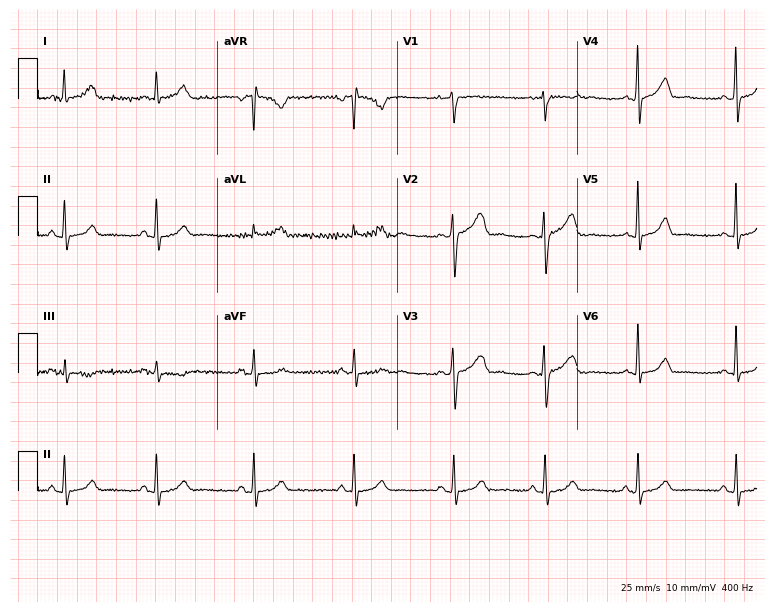
ECG — a 27-year-old woman. Labelled as a normal ECG.